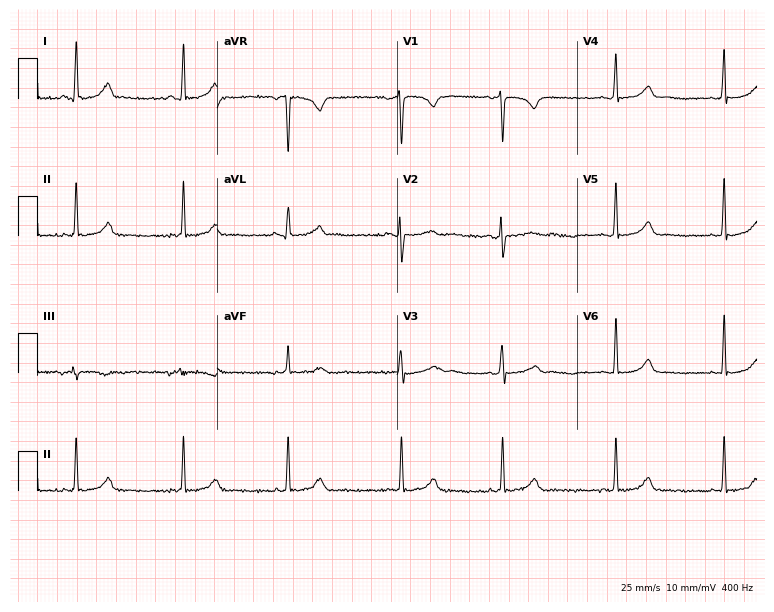
12-lead ECG (7.3-second recording at 400 Hz) from a 29-year-old female. Screened for six findings — first-degree AV block, right bundle branch block, left bundle branch block, sinus bradycardia, atrial fibrillation, sinus tachycardia — none is recorded.